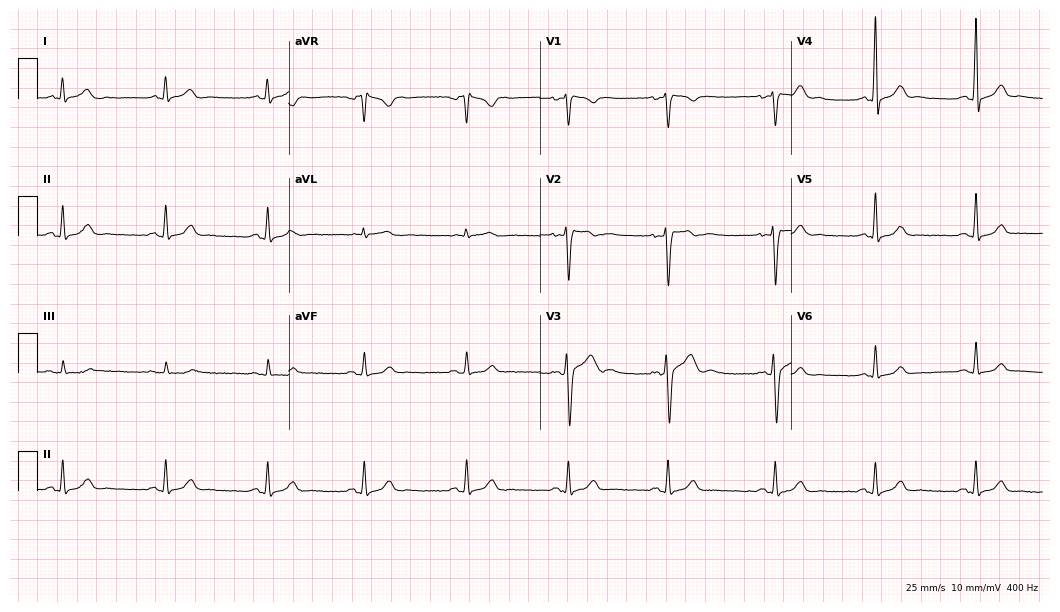
Resting 12-lead electrocardiogram (10.2-second recording at 400 Hz). Patient: a 28-year-old male. None of these six findings is recorded: first-degree AV block, right bundle branch block, left bundle branch block, sinus bradycardia, atrial fibrillation, sinus tachycardia. Findings outside these six are not listed.